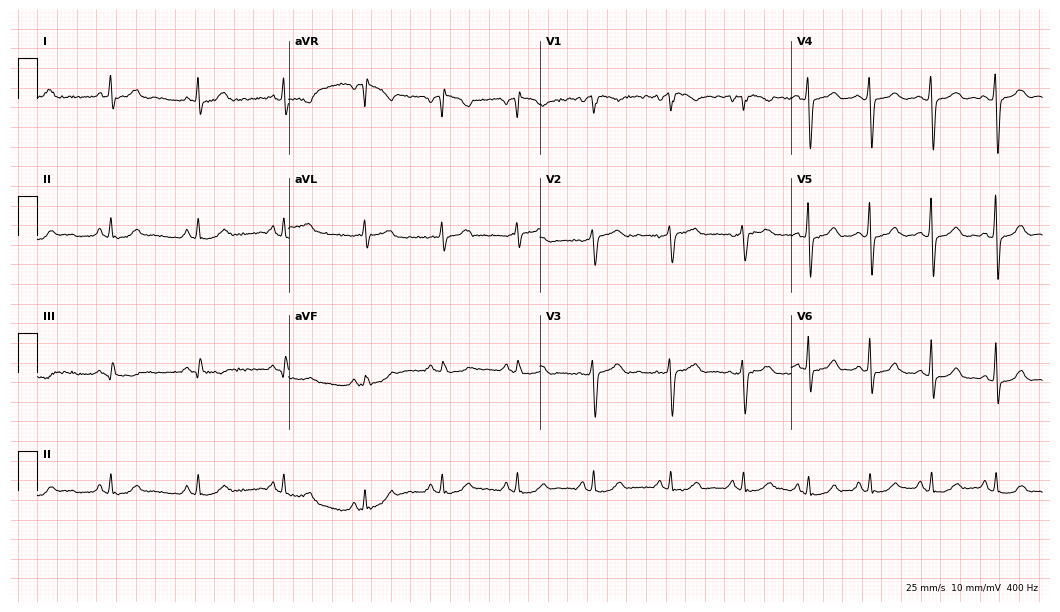
Resting 12-lead electrocardiogram. Patient: a female, 49 years old. None of these six findings is recorded: first-degree AV block, right bundle branch block, left bundle branch block, sinus bradycardia, atrial fibrillation, sinus tachycardia.